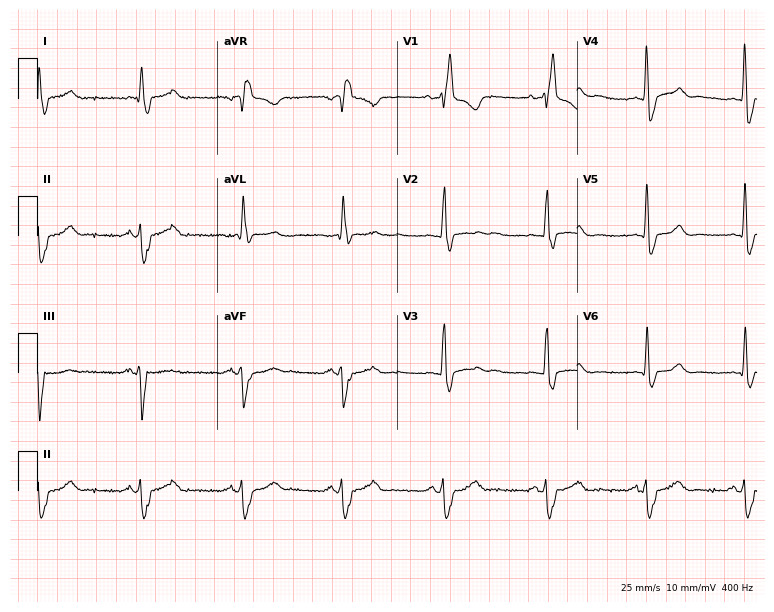
Standard 12-lead ECG recorded from a 71-year-old man (7.3-second recording at 400 Hz). The tracing shows right bundle branch block.